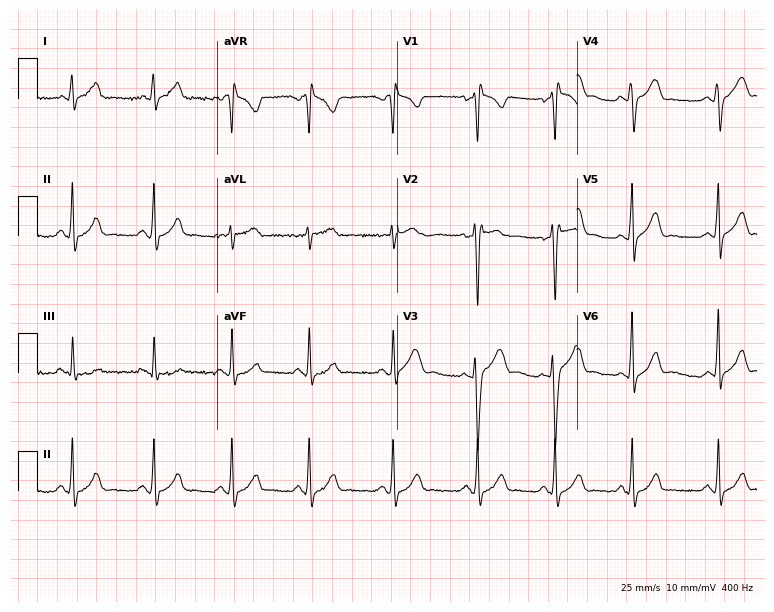
Electrocardiogram (7.3-second recording at 400 Hz), a male, 21 years old. Of the six screened findings (first-degree AV block, right bundle branch block (RBBB), left bundle branch block (LBBB), sinus bradycardia, atrial fibrillation (AF), sinus tachycardia), none is recorded. Findings outside these six are not listed.